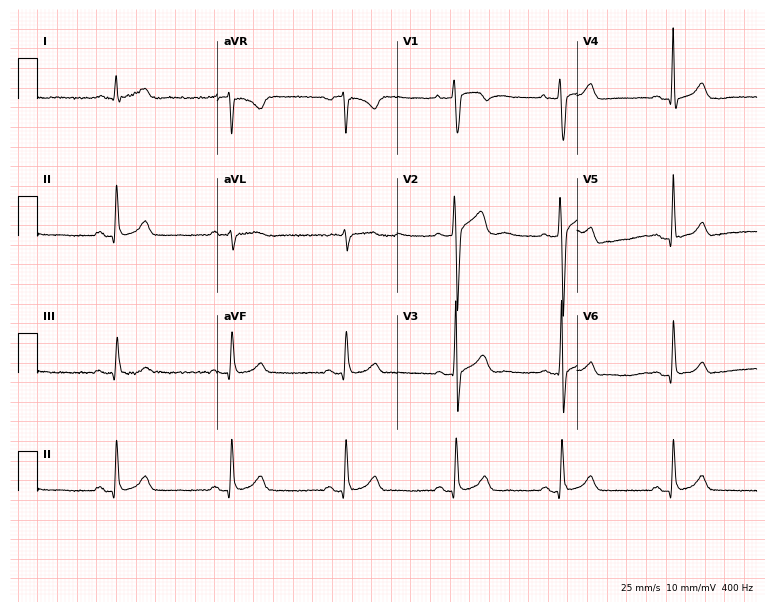
Resting 12-lead electrocardiogram (7.3-second recording at 400 Hz). Patient: a 35-year-old male. Read as a normal ECG.